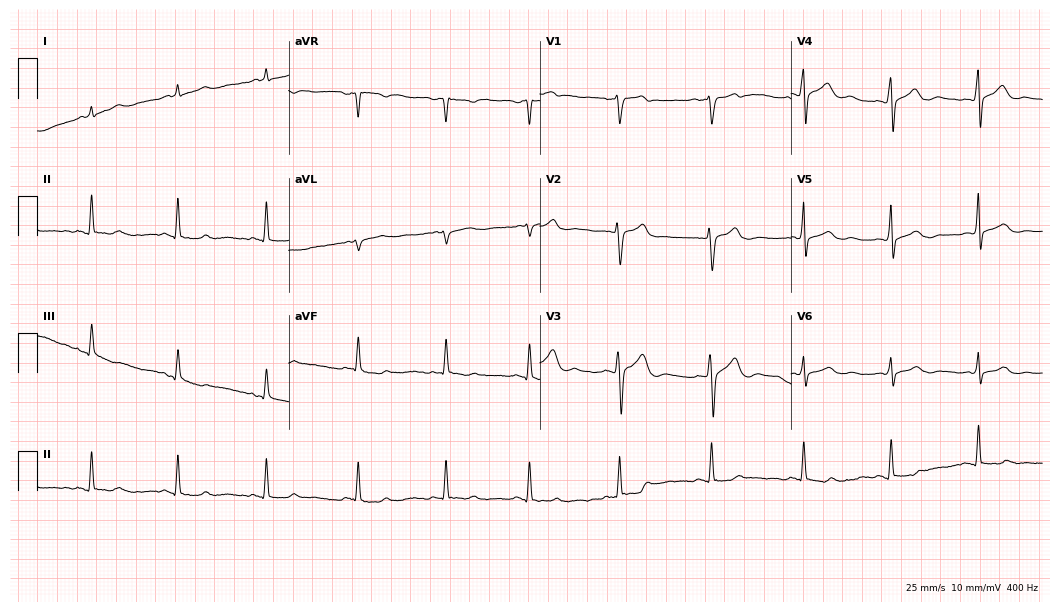
Electrocardiogram (10.2-second recording at 400 Hz), a 24-year-old male patient. Overall reading on record: normal ECG.